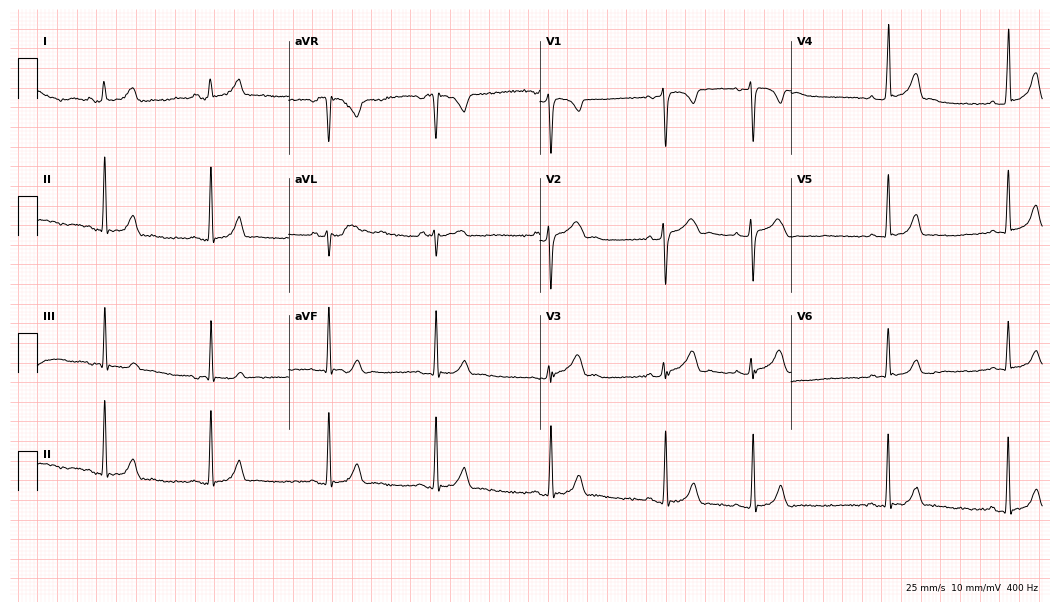
ECG (10.2-second recording at 400 Hz) — a female patient, 18 years old. Labelled as a normal ECG.